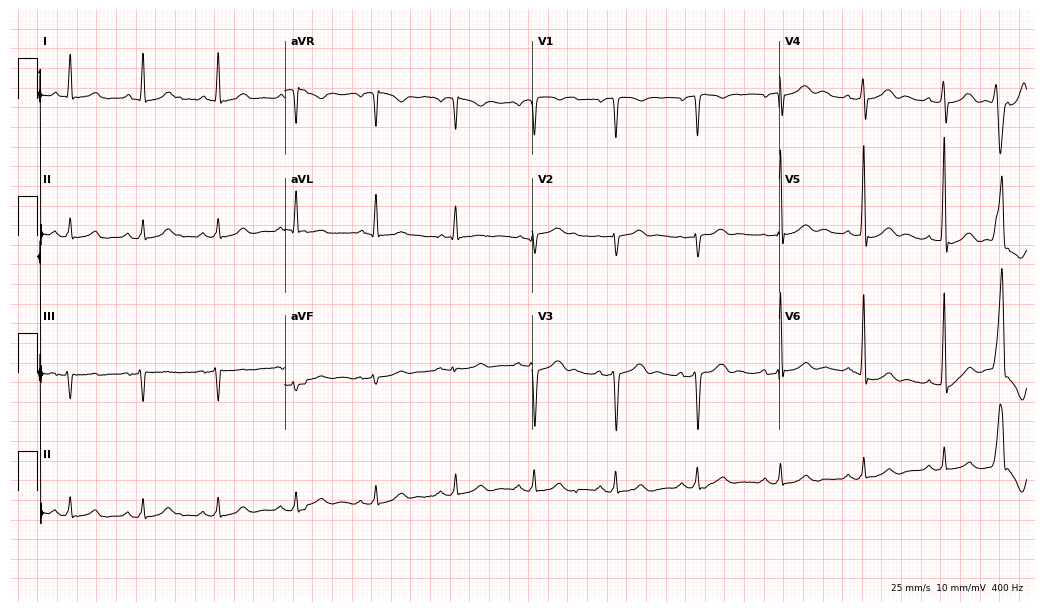
ECG (10.1-second recording at 400 Hz) — a 52-year-old man. Labelled as a normal ECG.